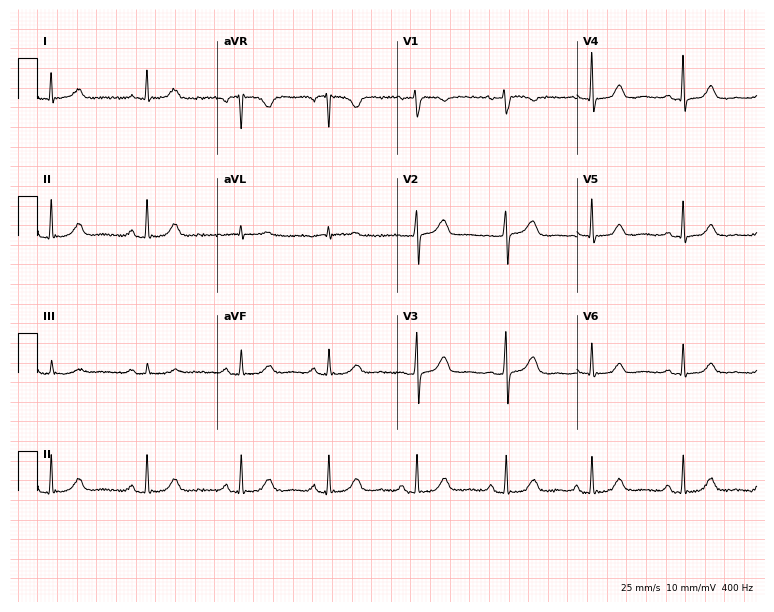
ECG — a 66-year-old female patient. Labelled as a normal ECG.